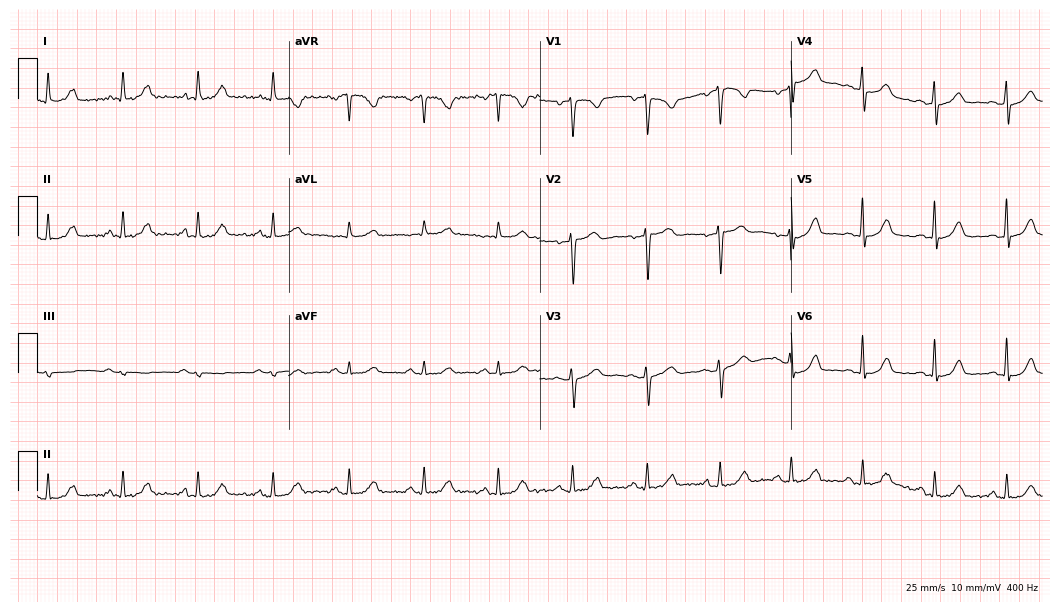
12-lead ECG from a woman, 45 years old. Labelled as a normal ECG.